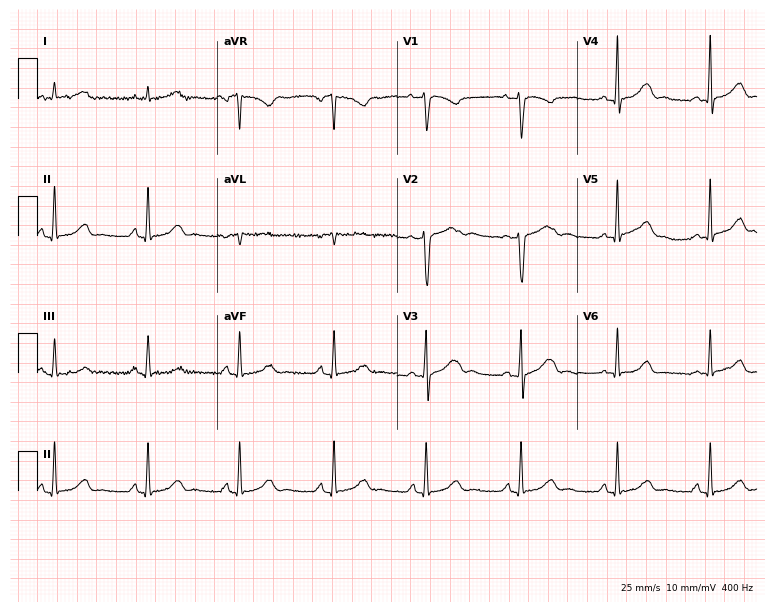
Electrocardiogram (7.3-second recording at 400 Hz), a woman, 35 years old. Of the six screened findings (first-degree AV block, right bundle branch block, left bundle branch block, sinus bradycardia, atrial fibrillation, sinus tachycardia), none is recorded. Other findings, if any, are not listed.